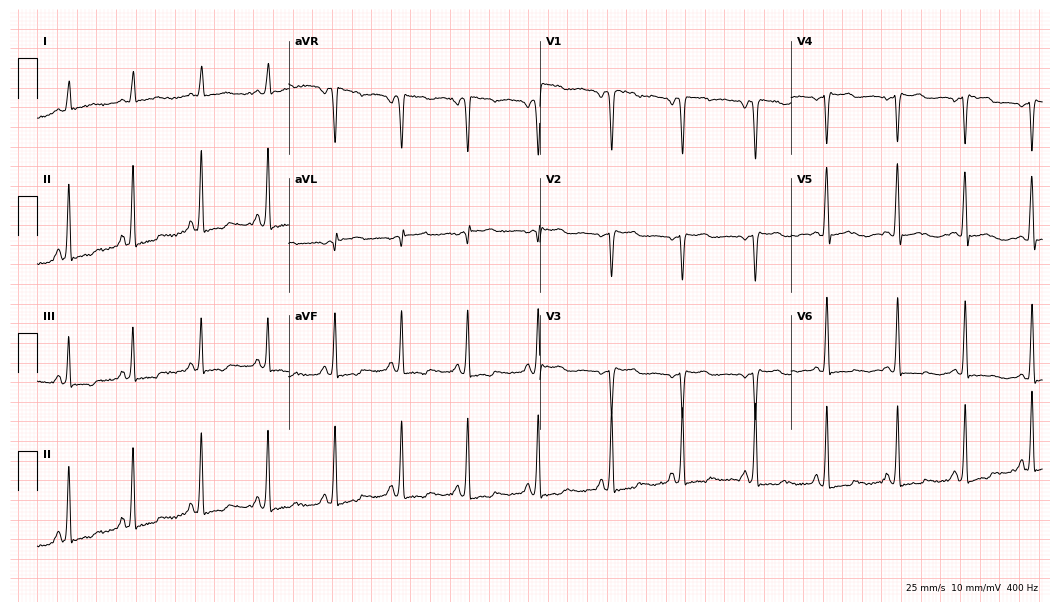
12-lead ECG from a woman, 72 years old. Screened for six findings — first-degree AV block, right bundle branch block, left bundle branch block, sinus bradycardia, atrial fibrillation, sinus tachycardia — none is recorded. Only these six findings were labelled.